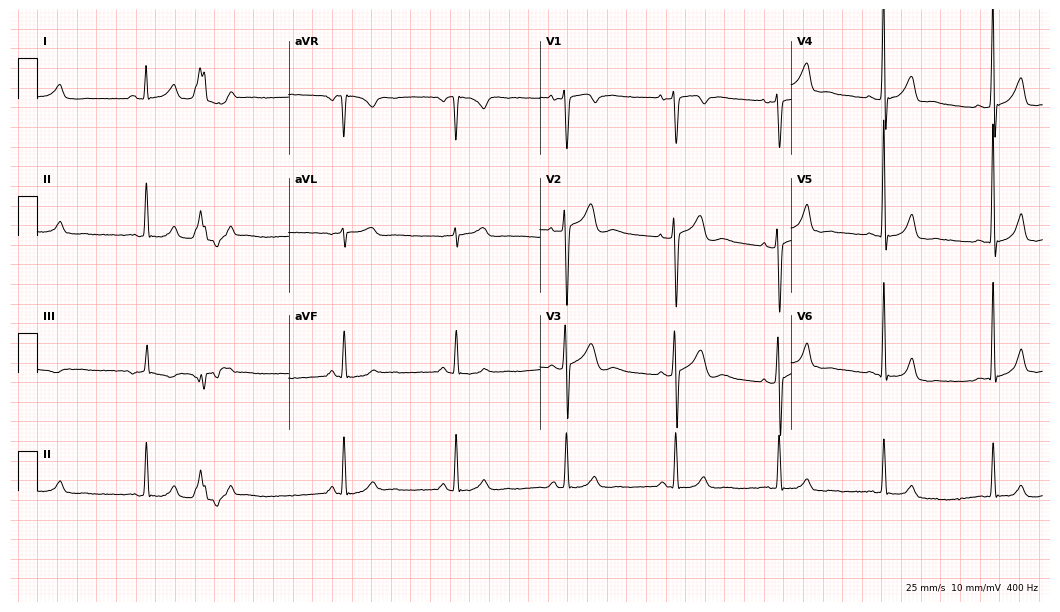
Electrocardiogram, a 39-year-old male patient. Of the six screened findings (first-degree AV block, right bundle branch block, left bundle branch block, sinus bradycardia, atrial fibrillation, sinus tachycardia), none is recorded.